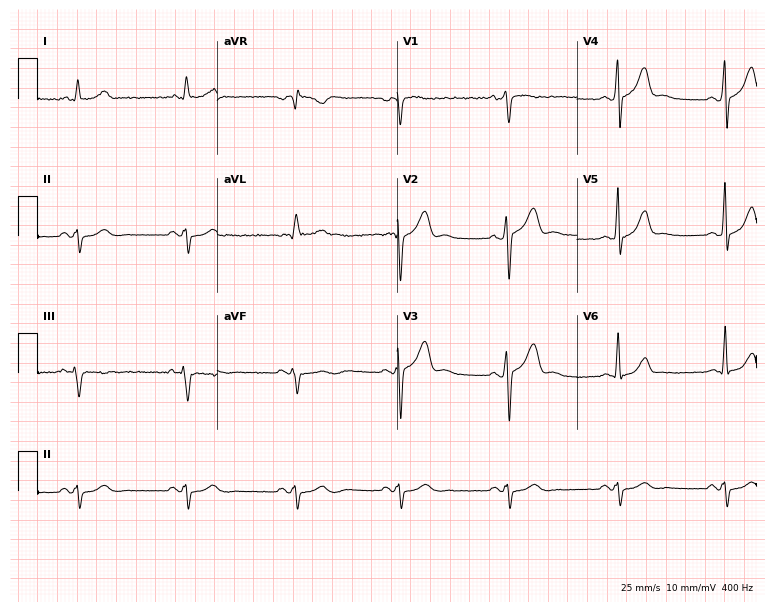
12-lead ECG from a male, 48 years old. No first-degree AV block, right bundle branch block, left bundle branch block, sinus bradycardia, atrial fibrillation or sinus tachycardia recorded for this tracing. Other findings, if any, are not listed.